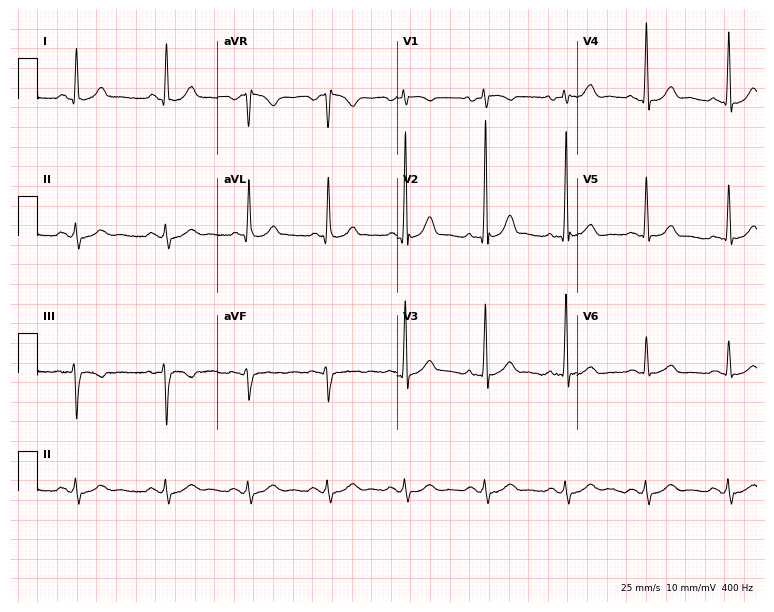
Resting 12-lead electrocardiogram. Patient: a 54-year-old male. Read as a normal ECG.